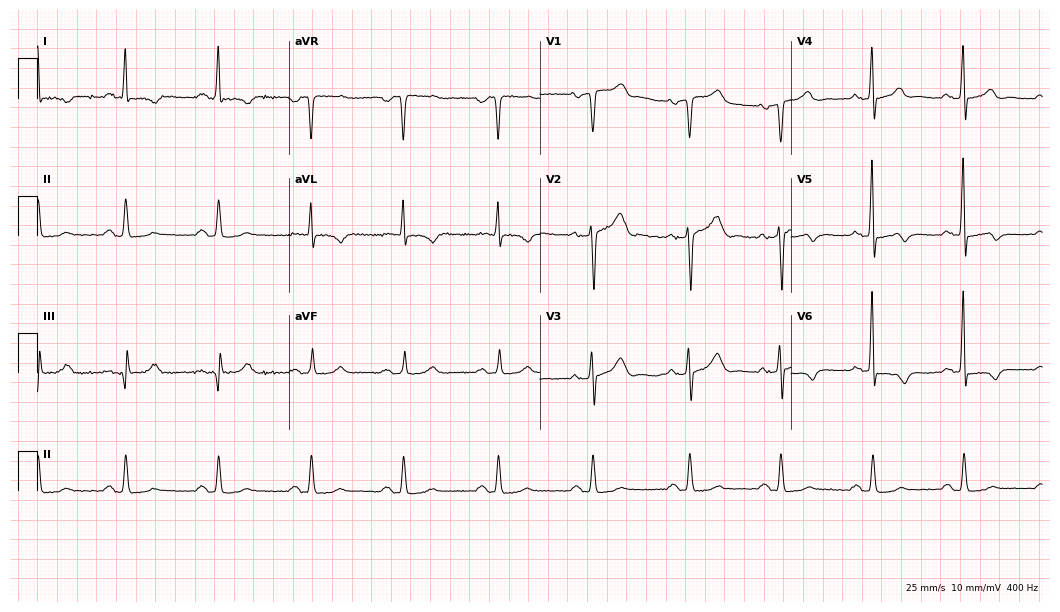
12-lead ECG from a 61-year-old male (10.2-second recording at 400 Hz). No first-degree AV block, right bundle branch block, left bundle branch block, sinus bradycardia, atrial fibrillation or sinus tachycardia recorded for this tracing. Other findings, if any, are not listed.